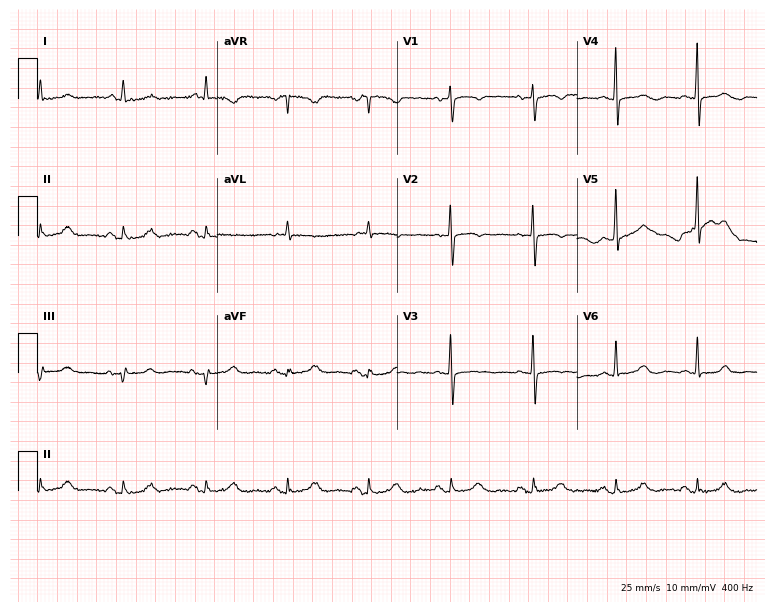
Resting 12-lead electrocardiogram (7.3-second recording at 400 Hz). Patient: a 77-year-old female. None of these six findings is recorded: first-degree AV block, right bundle branch block (RBBB), left bundle branch block (LBBB), sinus bradycardia, atrial fibrillation (AF), sinus tachycardia.